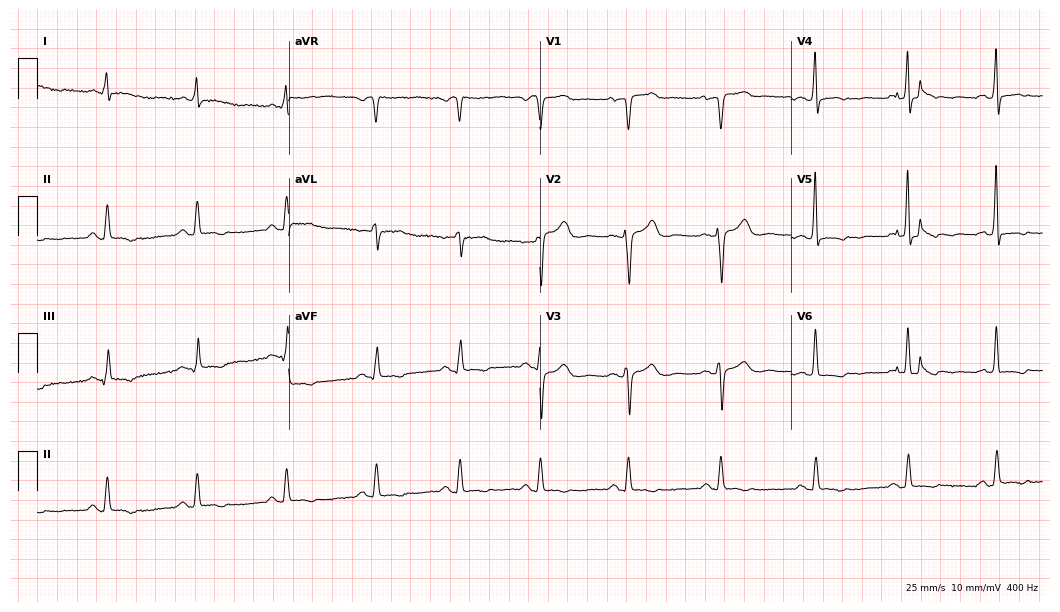
Electrocardiogram, a female, 63 years old. Of the six screened findings (first-degree AV block, right bundle branch block (RBBB), left bundle branch block (LBBB), sinus bradycardia, atrial fibrillation (AF), sinus tachycardia), none is recorded.